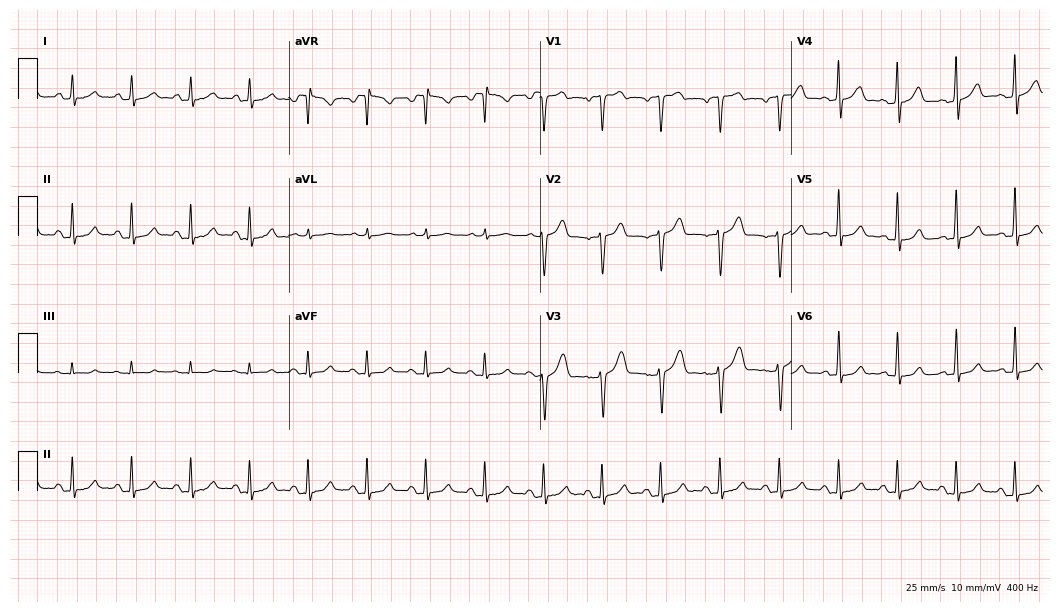
12-lead ECG (10.2-second recording at 400 Hz) from a male patient, 59 years old. Labelled as a normal ECG.